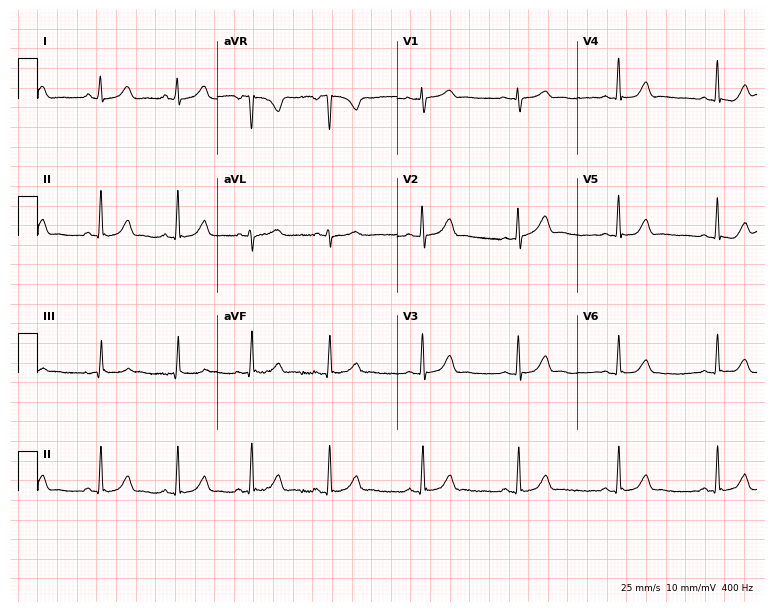
12-lead ECG from a female patient, 25 years old. Labelled as a normal ECG.